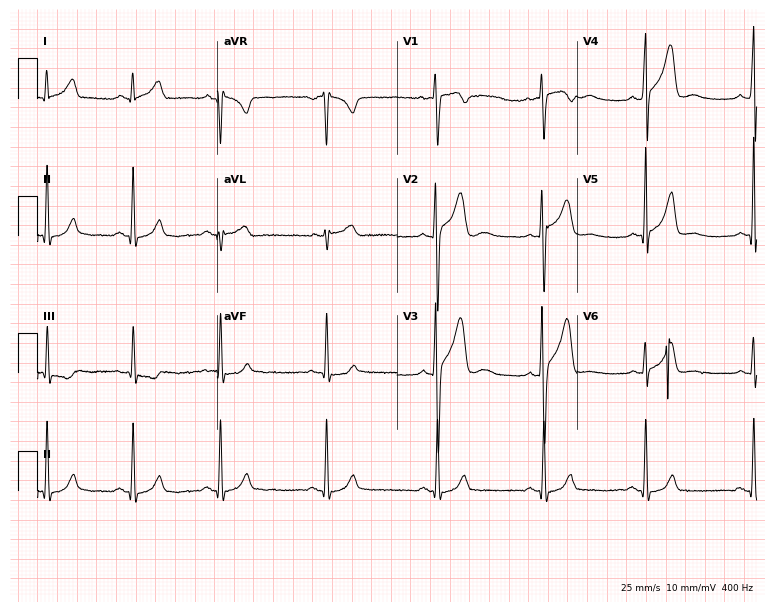
12-lead ECG from a 28-year-old male patient. No first-degree AV block, right bundle branch block, left bundle branch block, sinus bradycardia, atrial fibrillation or sinus tachycardia recorded for this tracing.